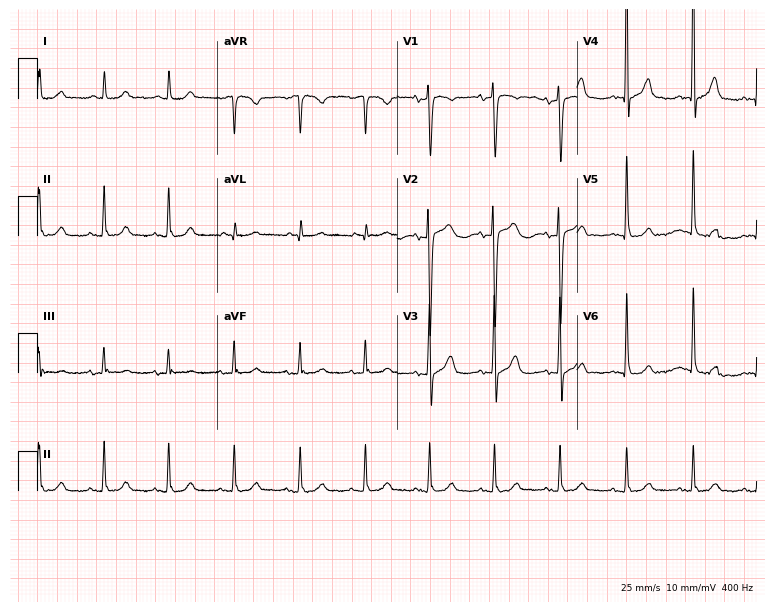
12-lead ECG from a woman, 79 years old. Labelled as a normal ECG.